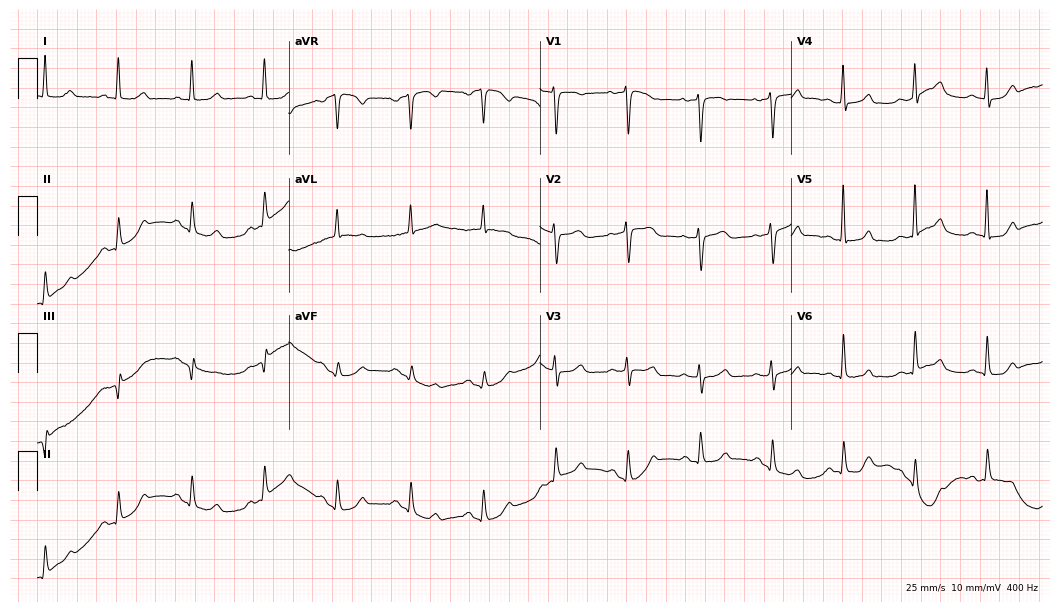
Resting 12-lead electrocardiogram. Patient: a 77-year-old female. Read as a normal ECG.